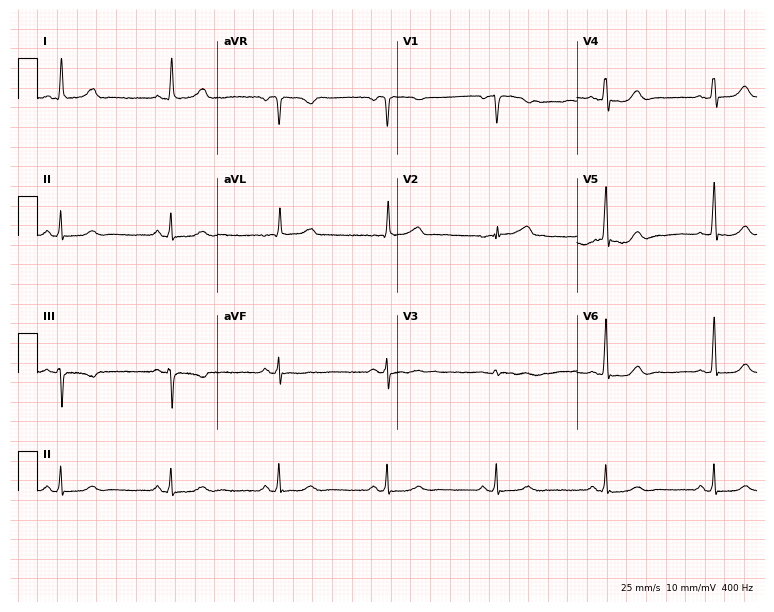
Standard 12-lead ECG recorded from a 71-year-old woman. None of these six findings is recorded: first-degree AV block, right bundle branch block (RBBB), left bundle branch block (LBBB), sinus bradycardia, atrial fibrillation (AF), sinus tachycardia.